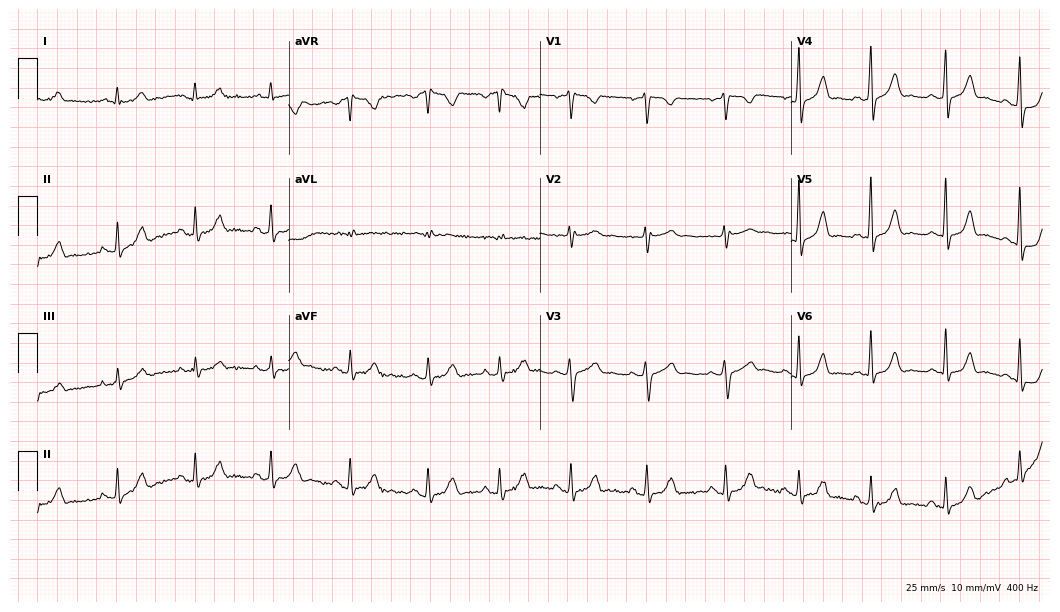
12-lead ECG (10.2-second recording at 400 Hz) from a female patient, 20 years old. Labelled as a normal ECG.